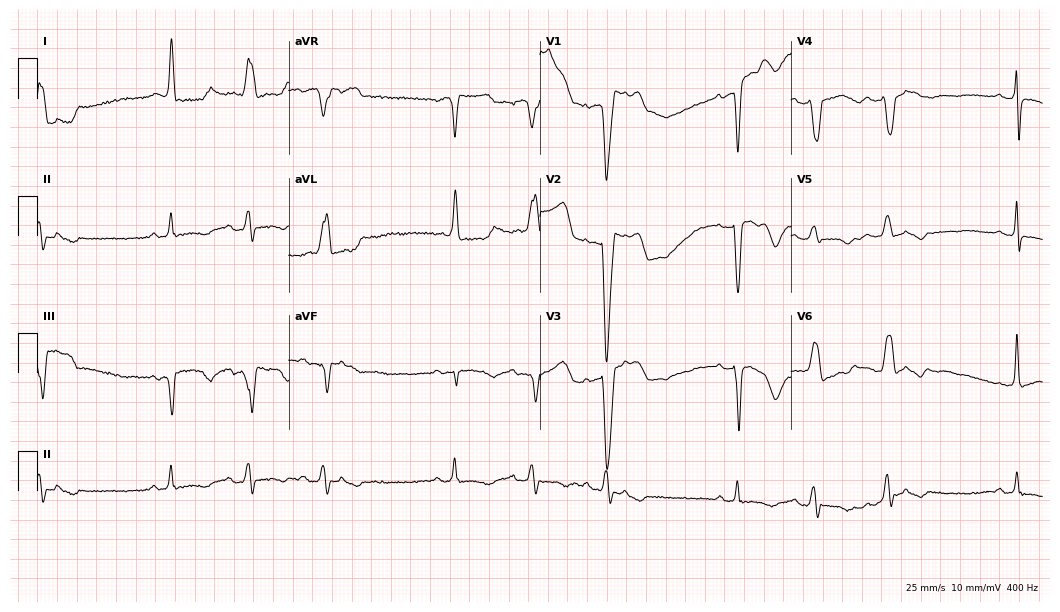
12-lead ECG from a female patient, 71 years old. Screened for six findings — first-degree AV block, right bundle branch block, left bundle branch block, sinus bradycardia, atrial fibrillation, sinus tachycardia — none is recorded. Findings outside these six are not listed.